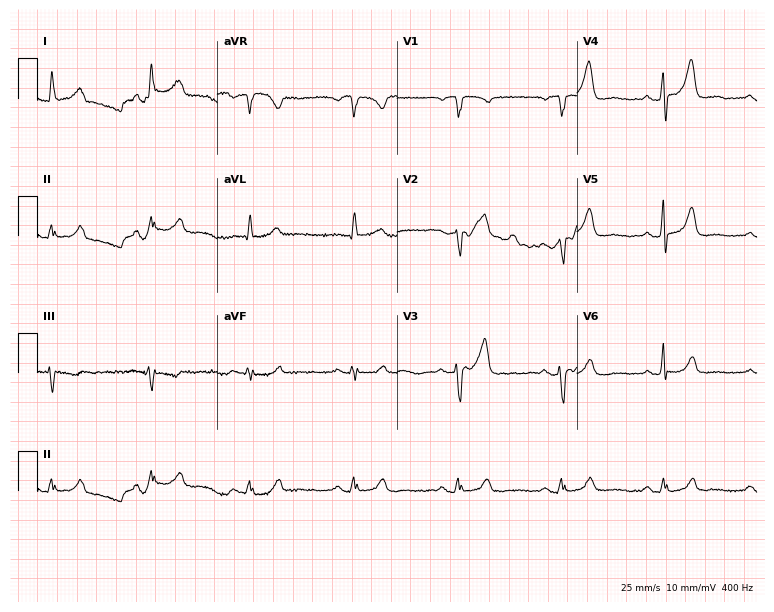
12-lead ECG from a 66-year-old male patient (7.3-second recording at 400 Hz). Recorded interpretation: within normal limits.